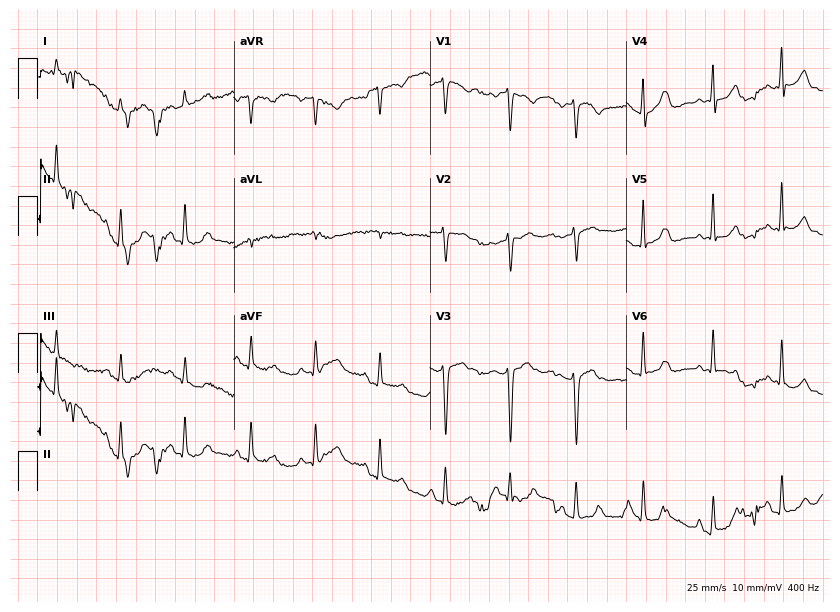
ECG — a female, 47 years old. Screened for six findings — first-degree AV block, right bundle branch block, left bundle branch block, sinus bradycardia, atrial fibrillation, sinus tachycardia — none is recorded. Only these six findings were labelled.